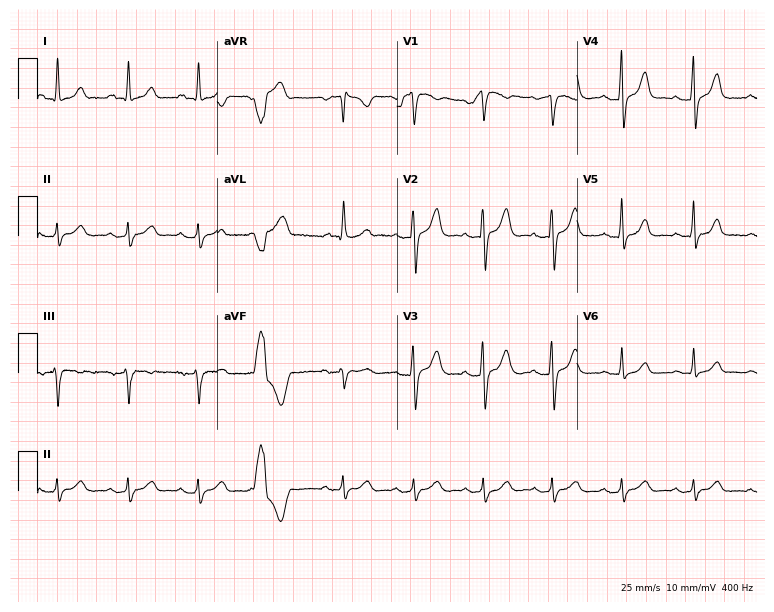
Electrocardiogram (7.3-second recording at 400 Hz), a 50-year-old woman. Overall reading on record: normal ECG.